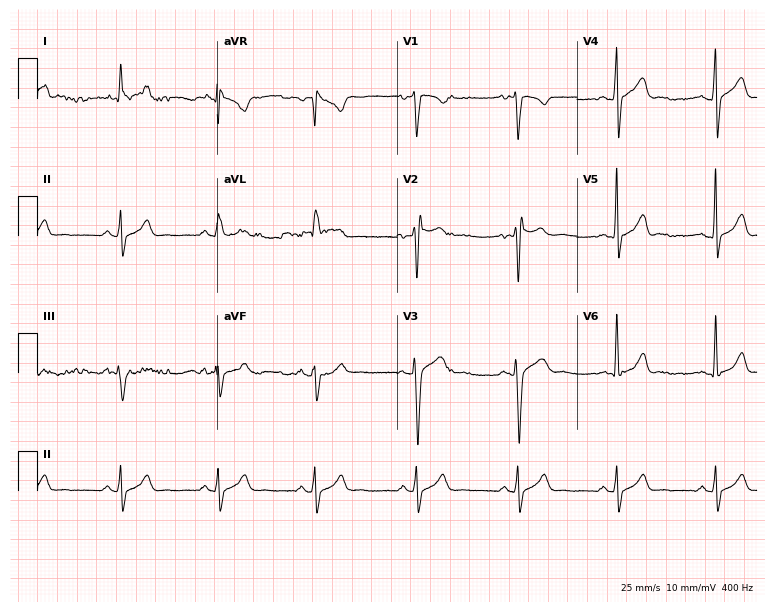
Standard 12-lead ECG recorded from a 20-year-old man. Read as a normal ECG.